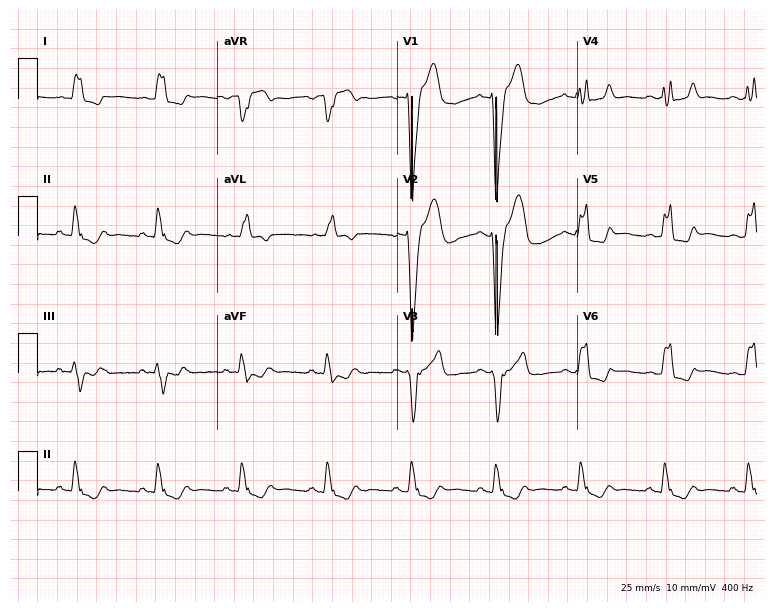
Resting 12-lead electrocardiogram. Patient: a 57-year-old male. The tracing shows left bundle branch block.